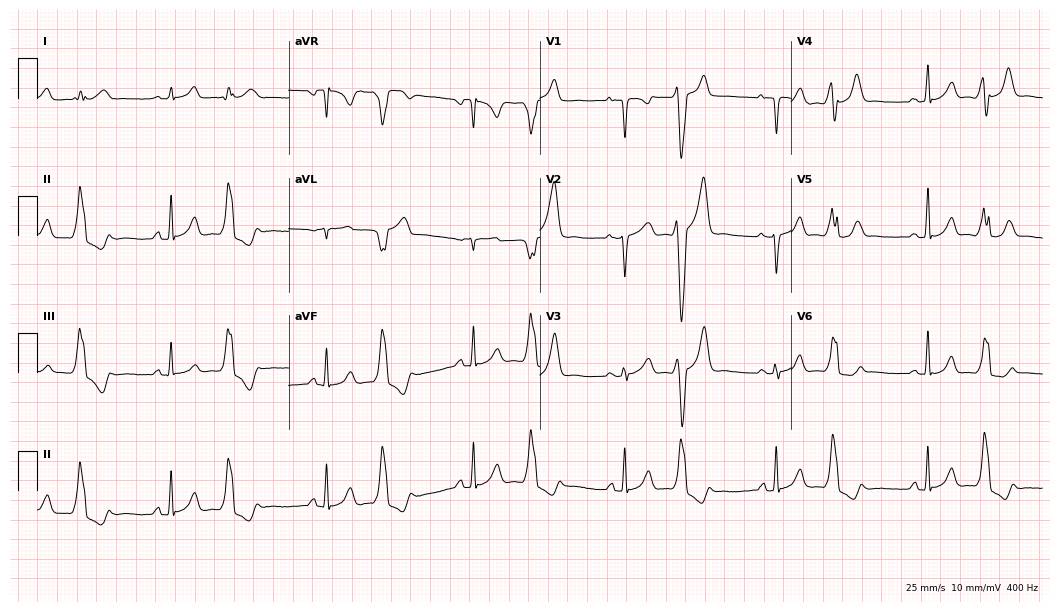
12-lead ECG (10.2-second recording at 400 Hz) from a 24-year-old female. Screened for six findings — first-degree AV block, right bundle branch block, left bundle branch block, sinus bradycardia, atrial fibrillation, sinus tachycardia — none is recorded.